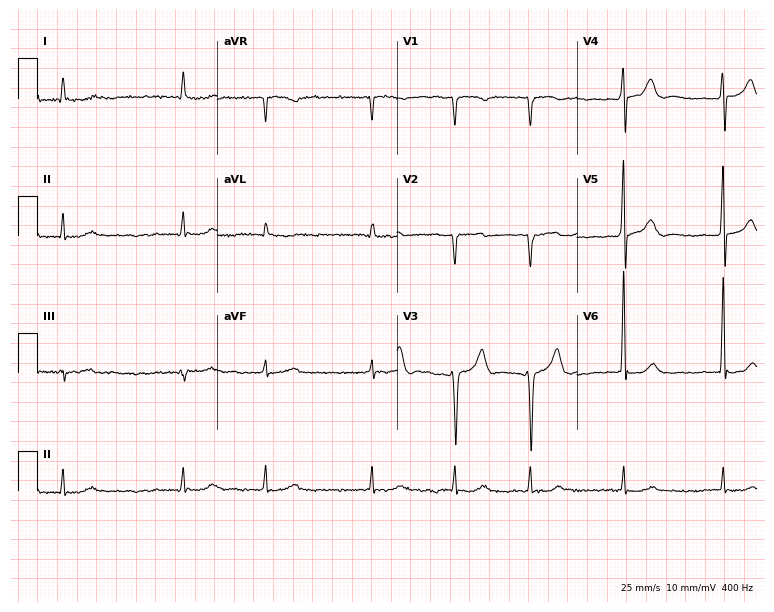
Electrocardiogram, a male patient, 72 years old. Interpretation includes atrial fibrillation.